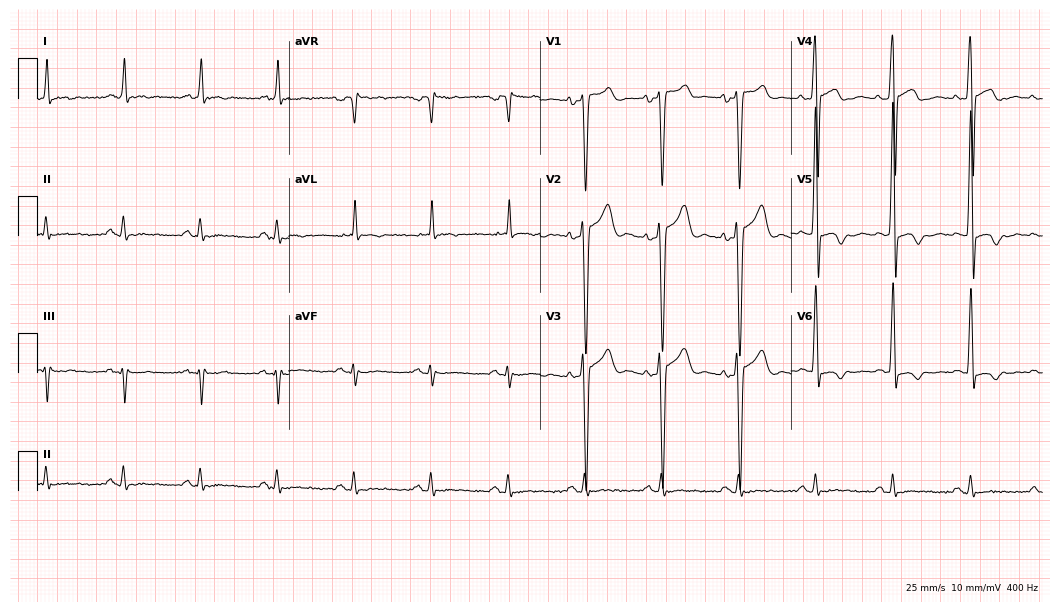
12-lead ECG from a male, 68 years old. Screened for six findings — first-degree AV block, right bundle branch block (RBBB), left bundle branch block (LBBB), sinus bradycardia, atrial fibrillation (AF), sinus tachycardia — none is recorded. Only these six findings were labelled.